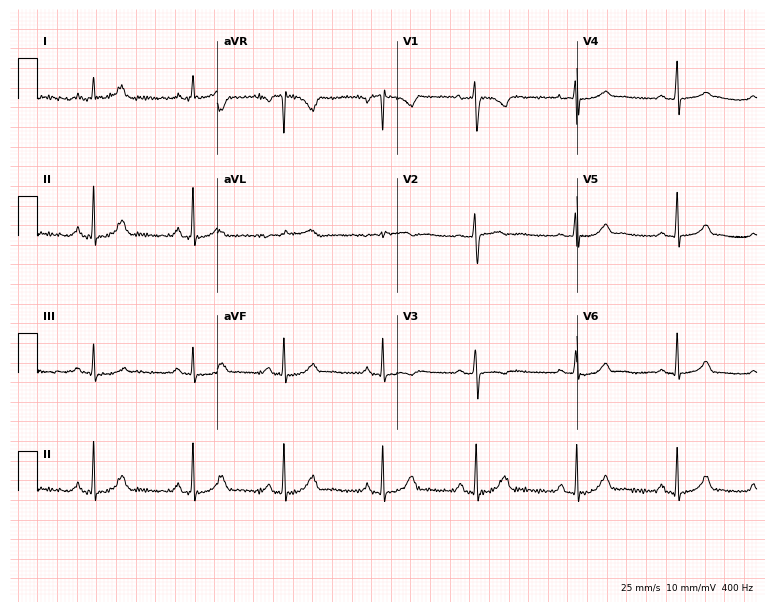
Standard 12-lead ECG recorded from a female, 32 years old. Read as a normal ECG.